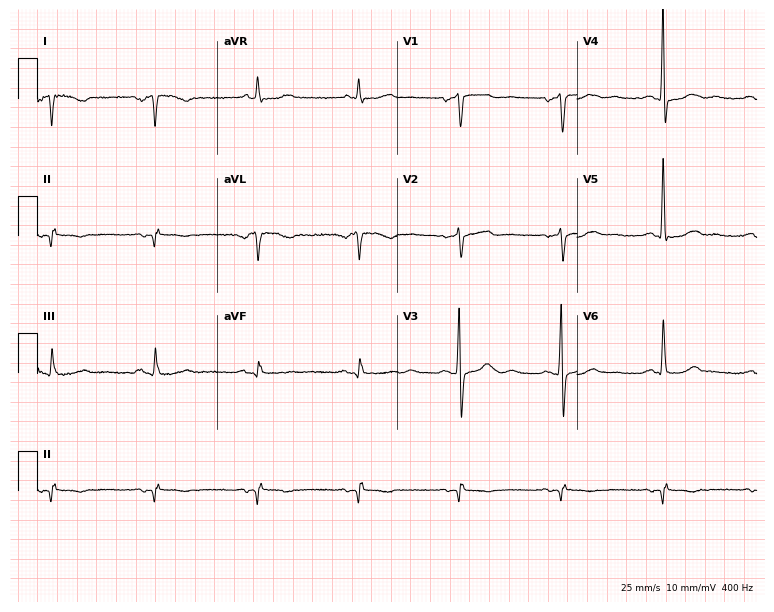
Standard 12-lead ECG recorded from a male, 73 years old. None of these six findings is recorded: first-degree AV block, right bundle branch block, left bundle branch block, sinus bradycardia, atrial fibrillation, sinus tachycardia.